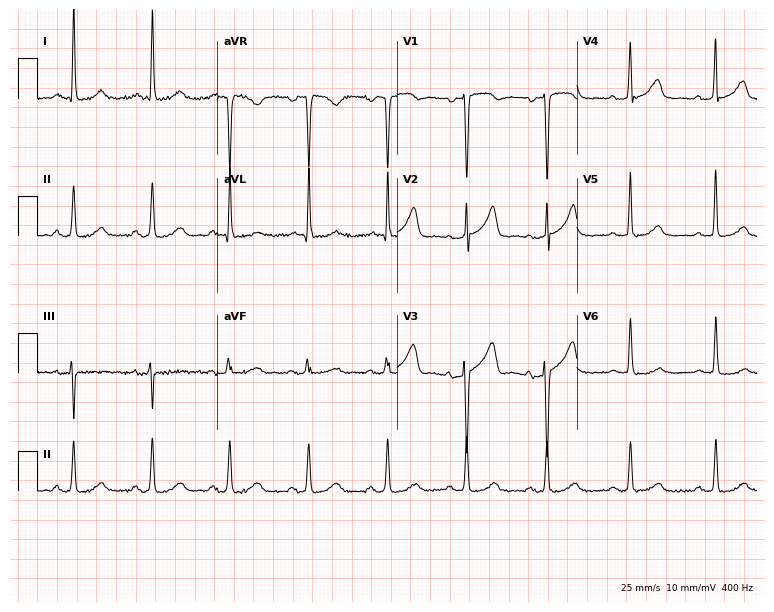
Standard 12-lead ECG recorded from a female, 49 years old (7.3-second recording at 400 Hz). None of these six findings is recorded: first-degree AV block, right bundle branch block, left bundle branch block, sinus bradycardia, atrial fibrillation, sinus tachycardia. Findings outside these six are not listed.